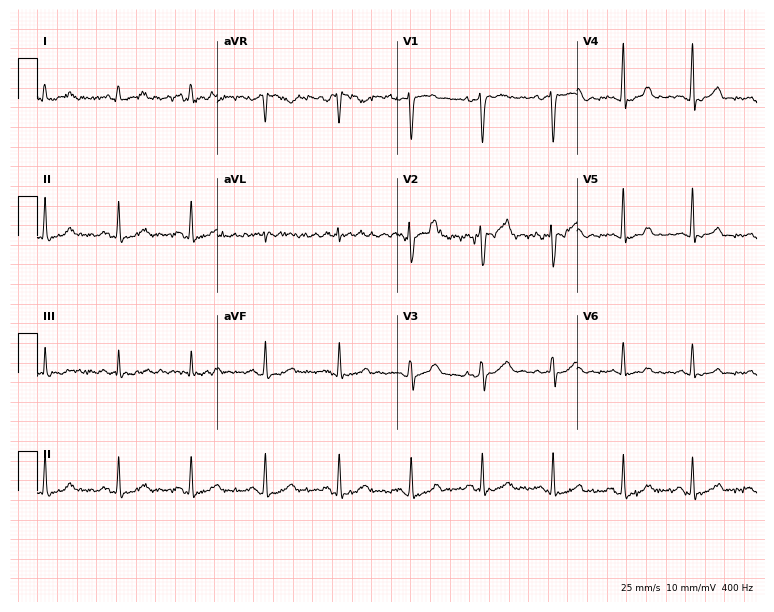
Standard 12-lead ECG recorded from a 49-year-old female patient. Read as a normal ECG.